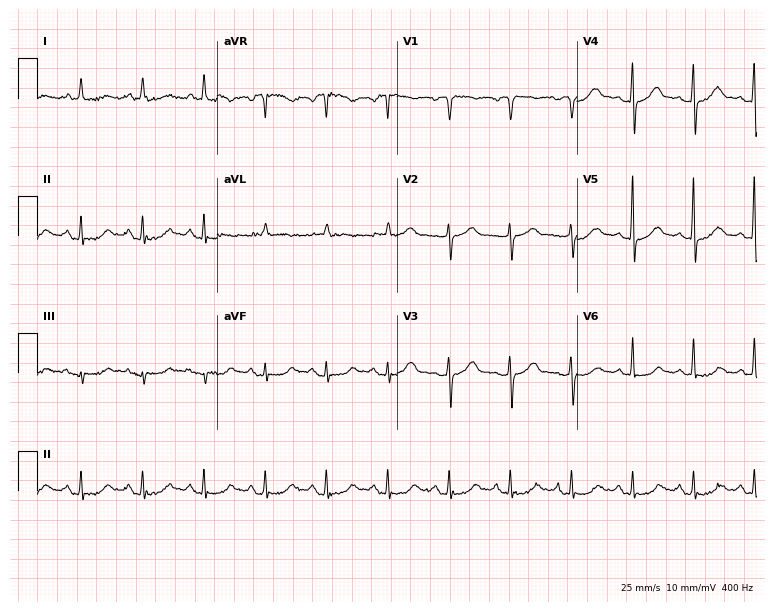
ECG (7.3-second recording at 400 Hz) — a woman, 83 years old. Labelled as a normal ECG.